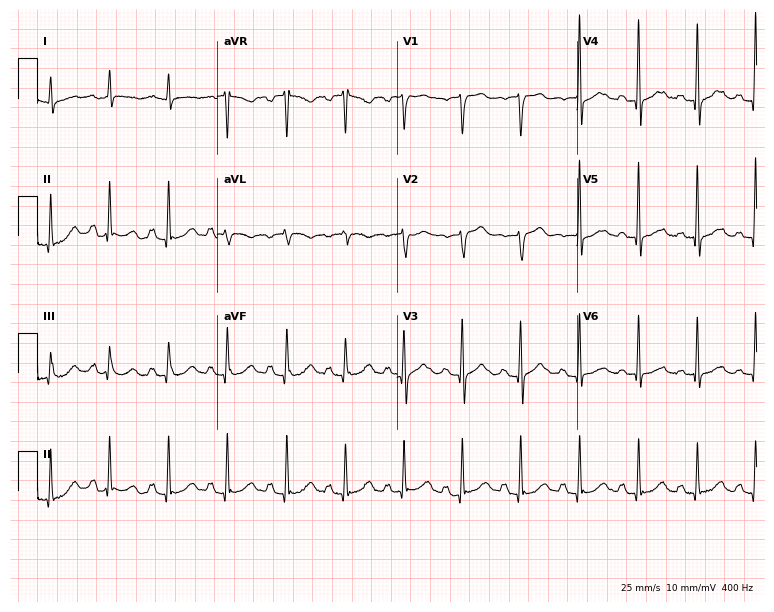
12-lead ECG from a woman, 69 years old. Labelled as a normal ECG.